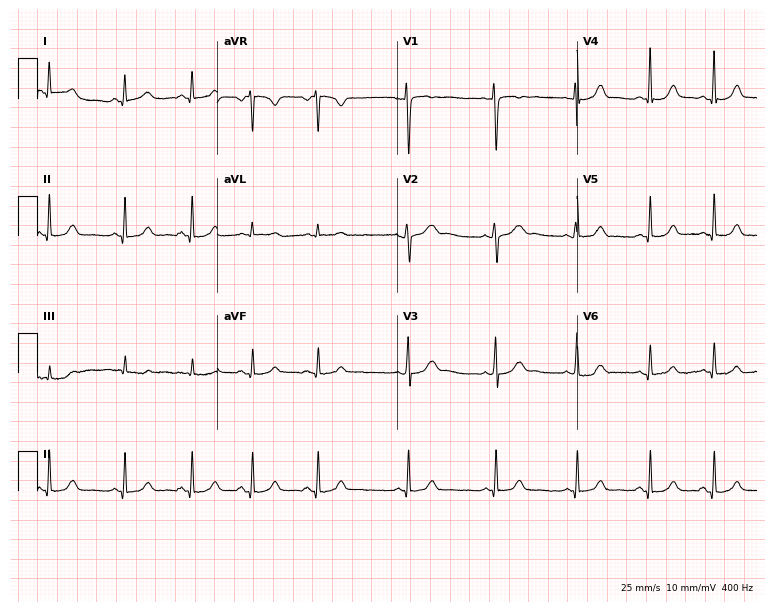
Standard 12-lead ECG recorded from a female patient, 21 years old (7.3-second recording at 400 Hz). None of these six findings is recorded: first-degree AV block, right bundle branch block, left bundle branch block, sinus bradycardia, atrial fibrillation, sinus tachycardia.